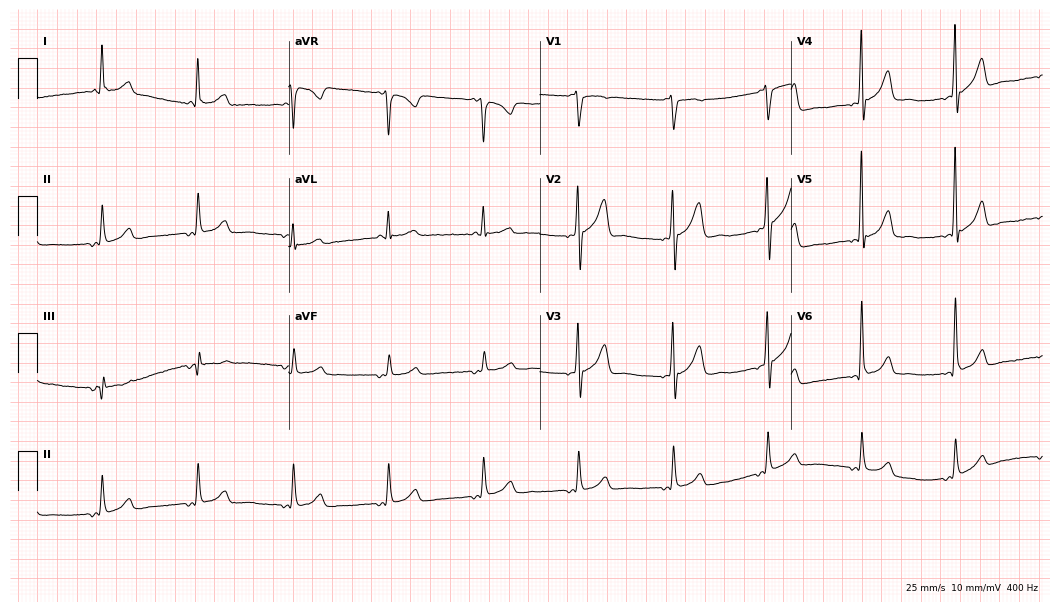
12-lead ECG from a 69-year-old male patient. Recorded interpretation: within normal limits.